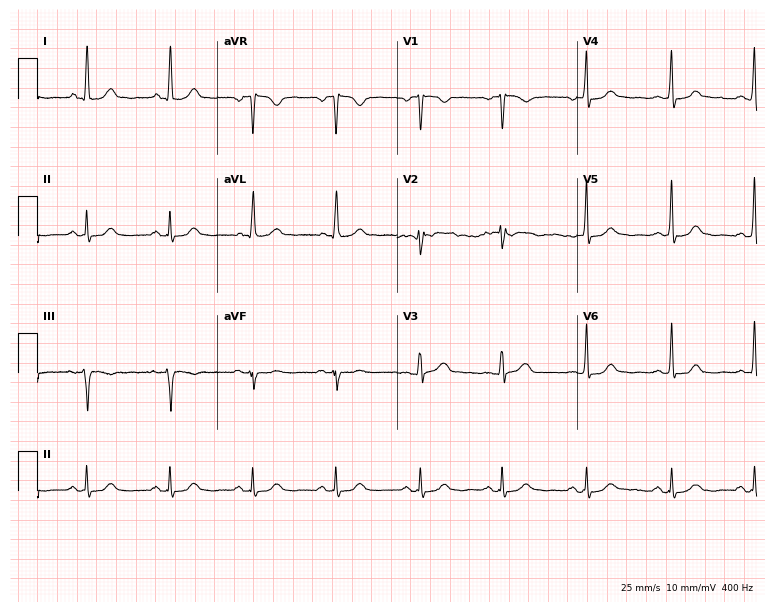
12-lead ECG from a female patient, 55 years old. Labelled as a normal ECG.